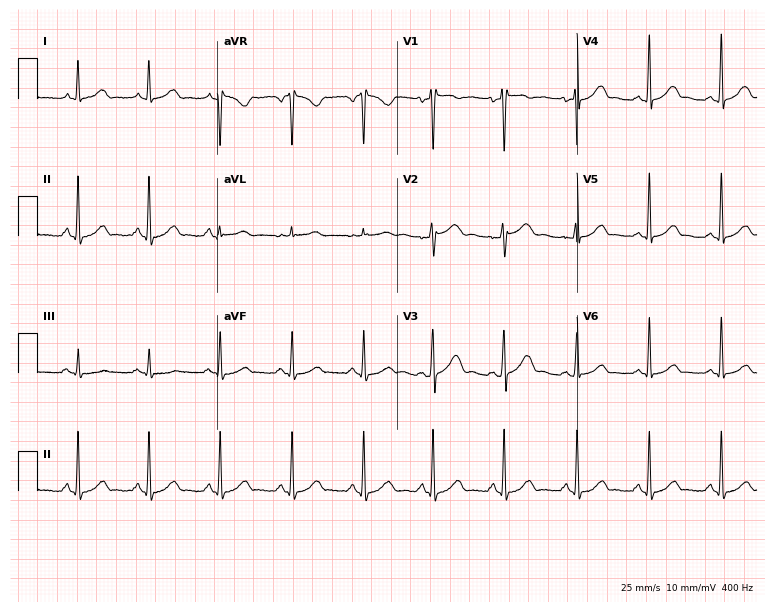
ECG — a woman, 28 years old. Labelled as a normal ECG.